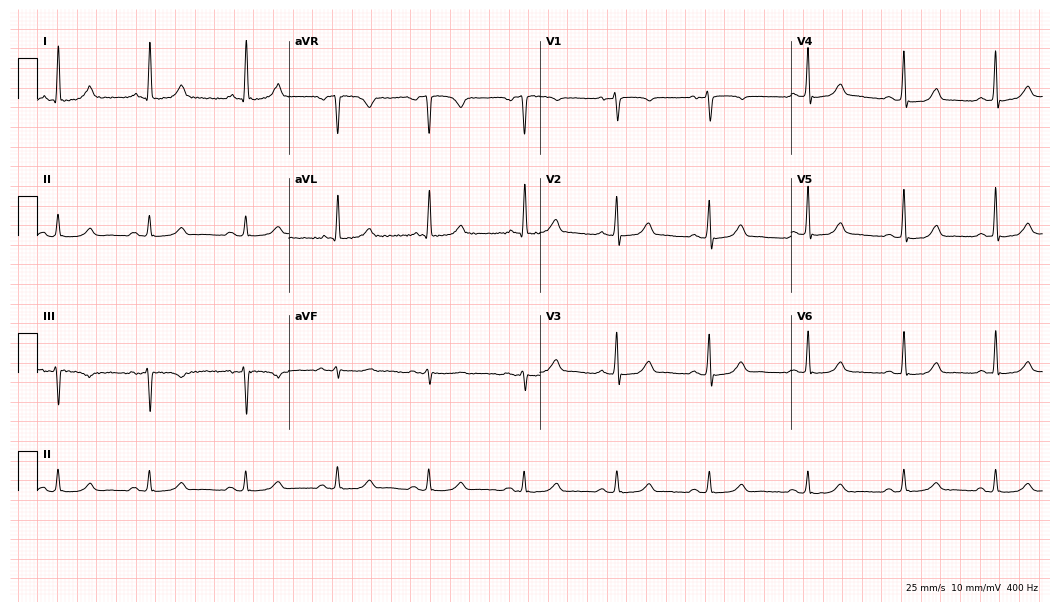
12-lead ECG from a female, 55 years old (10.2-second recording at 400 Hz). Recorded interpretation: within normal limits.